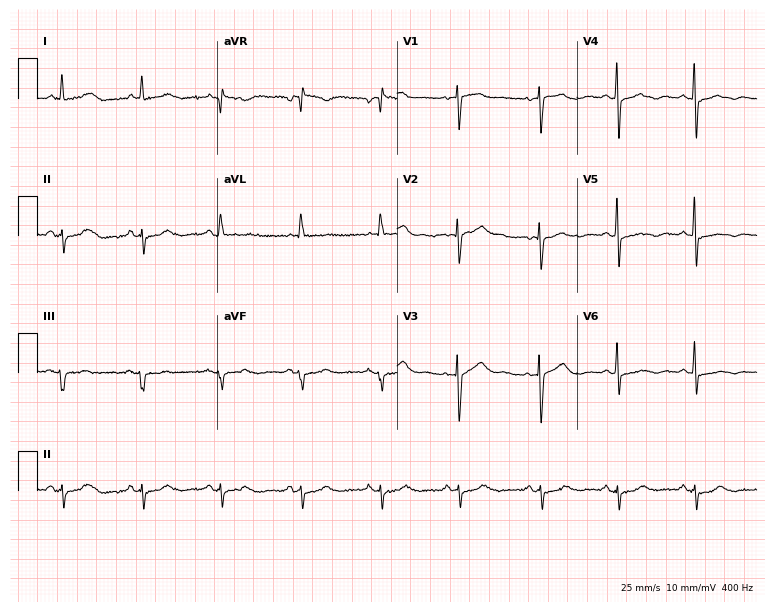
Standard 12-lead ECG recorded from a 74-year-old female patient. None of these six findings is recorded: first-degree AV block, right bundle branch block, left bundle branch block, sinus bradycardia, atrial fibrillation, sinus tachycardia.